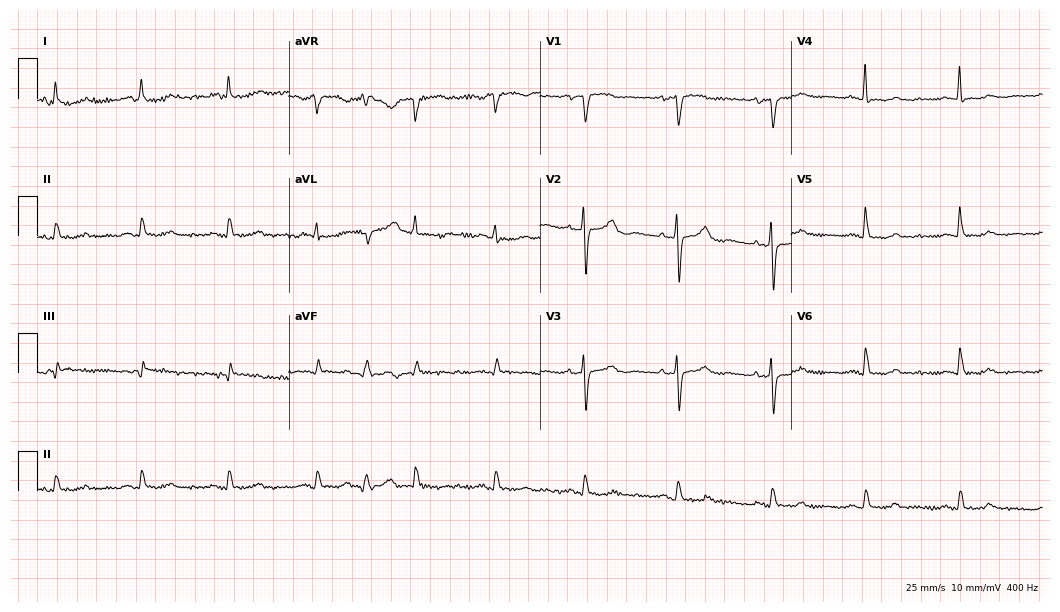
12-lead ECG from an 84-year-old woman. No first-degree AV block, right bundle branch block, left bundle branch block, sinus bradycardia, atrial fibrillation or sinus tachycardia recorded for this tracing.